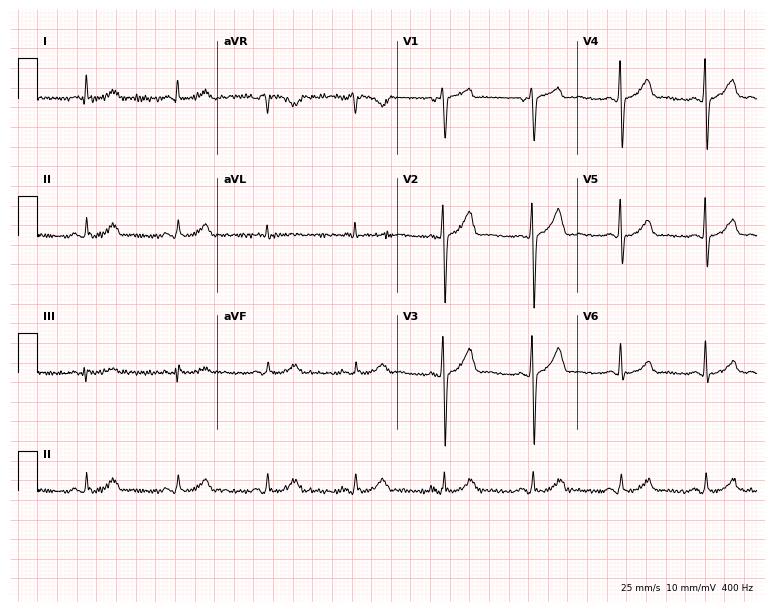
Electrocardiogram (7.3-second recording at 400 Hz), a man, 48 years old. Overall reading on record: normal ECG.